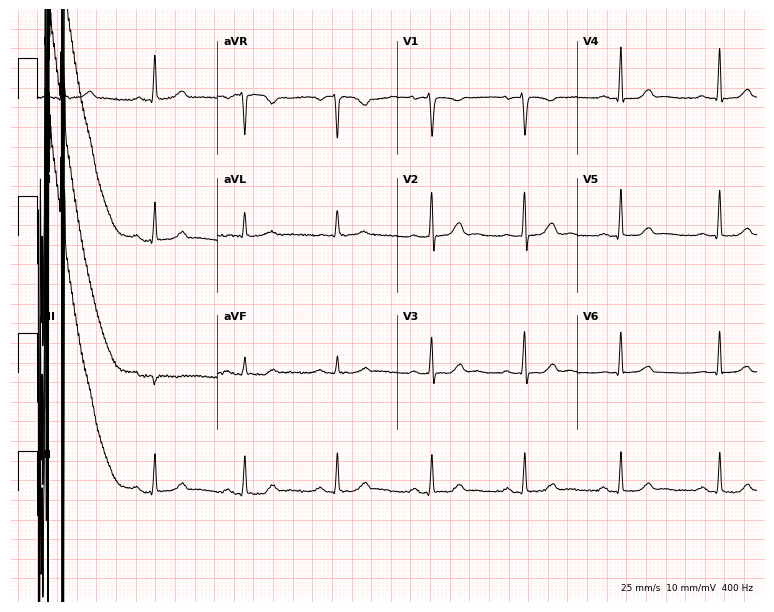
Standard 12-lead ECG recorded from a 49-year-old woman. Read as a normal ECG.